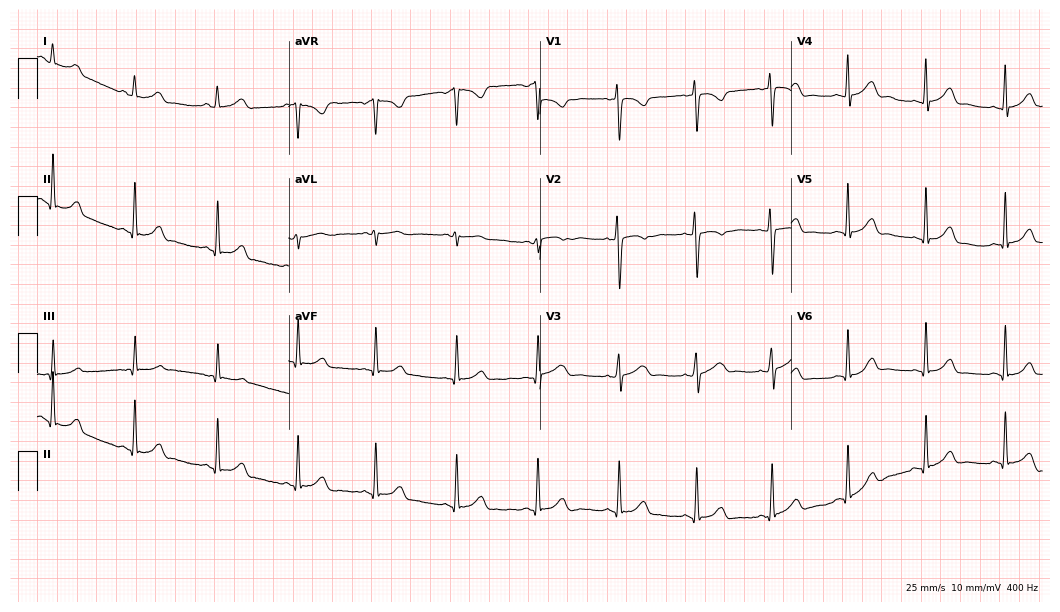
Resting 12-lead electrocardiogram (10.2-second recording at 400 Hz). Patient: a 37-year-old female. Read as a normal ECG.